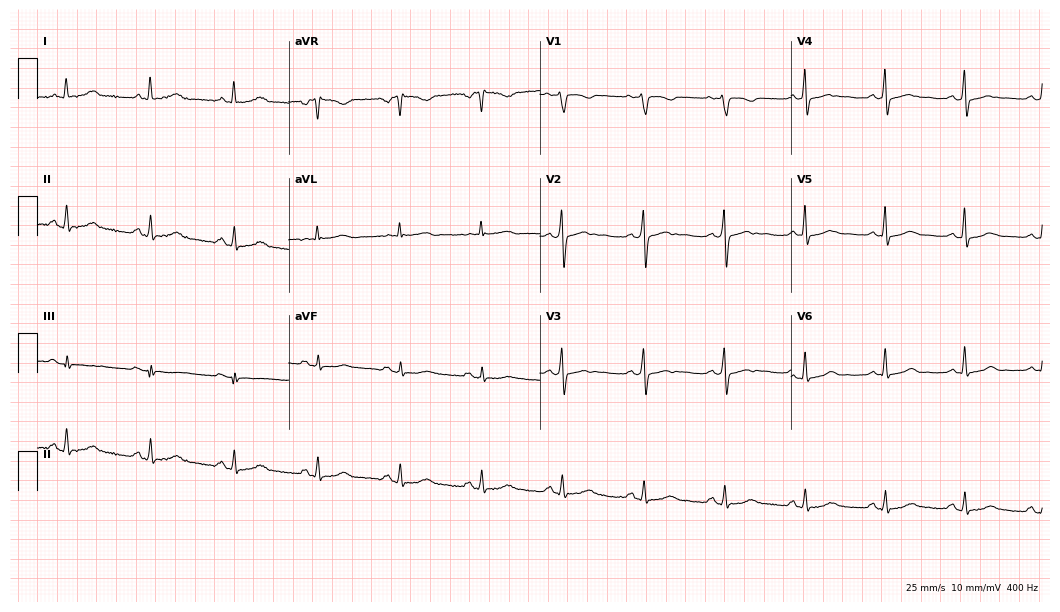
12-lead ECG from a woman, 48 years old. Labelled as a normal ECG.